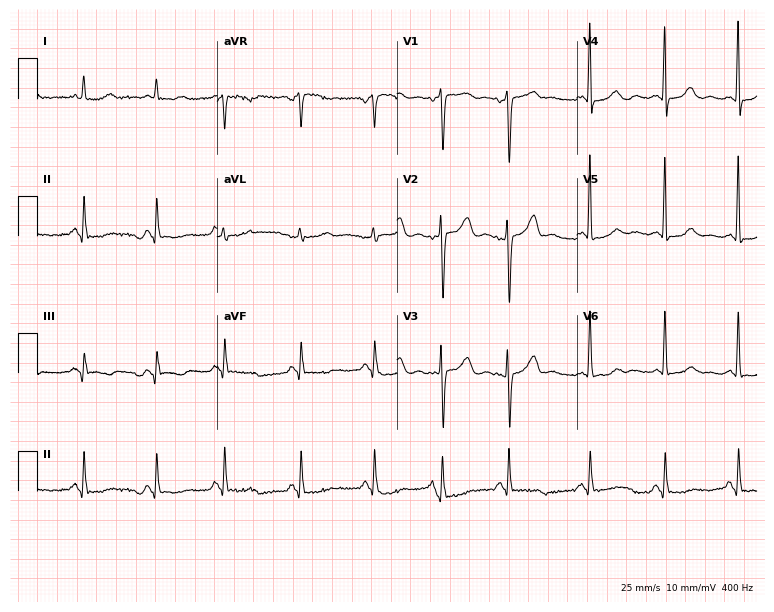
Resting 12-lead electrocardiogram. Patient: a female, 78 years old. Read as a normal ECG.